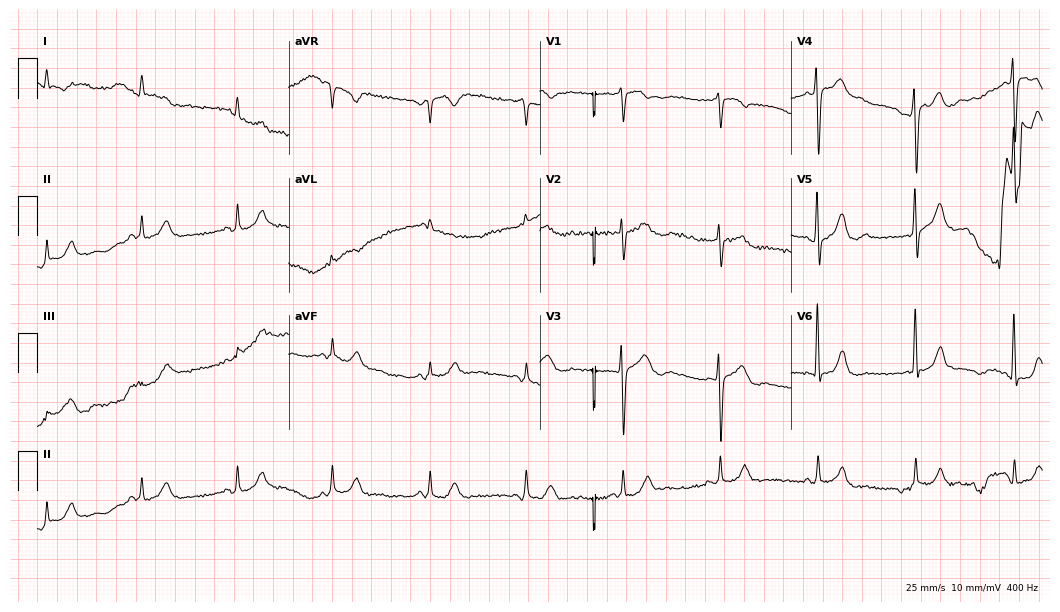
ECG (10.2-second recording at 400 Hz) — an 85-year-old male. Screened for six findings — first-degree AV block, right bundle branch block, left bundle branch block, sinus bradycardia, atrial fibrillation, sinus tachycardia — none is recorded.